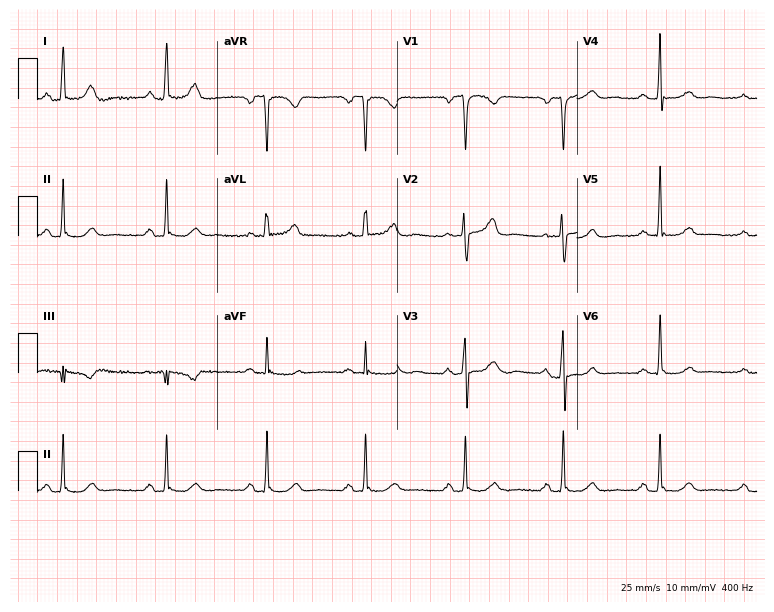
12-lead ECG (7.3-second recording at 400 Hz) from a 62-year-old woman. Labelled as a normal ECG.